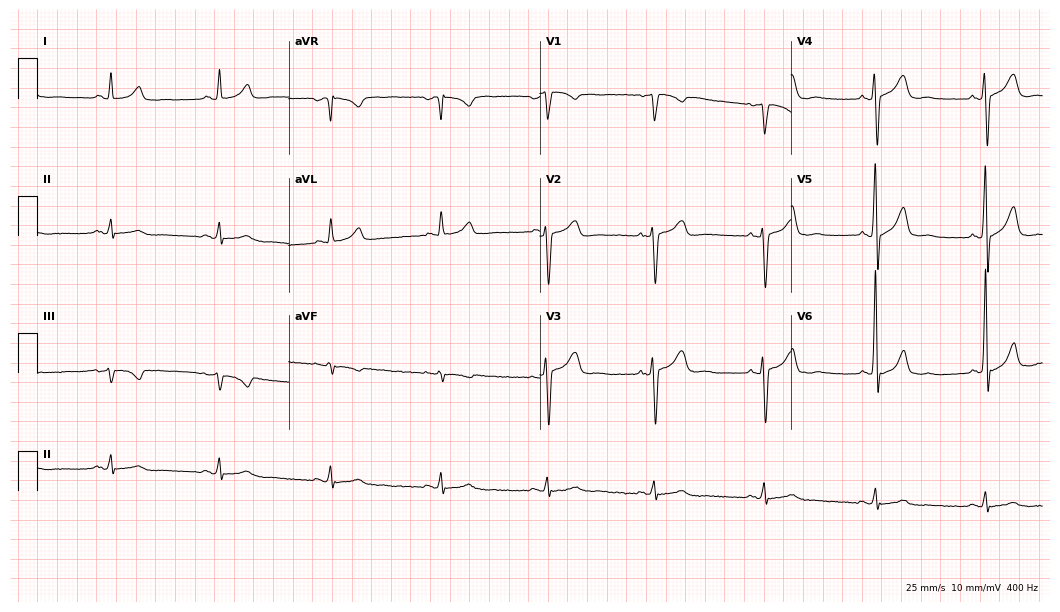
12-lead ECG (10.2-second recording at 400 Hz) from a 56-year-old male. Screened for six findings — first-degree AV block, right bundle branch block, left bundle branch block, sinus bradycardia, atrial fibrillation, sinus tachycardia — none is recorded.